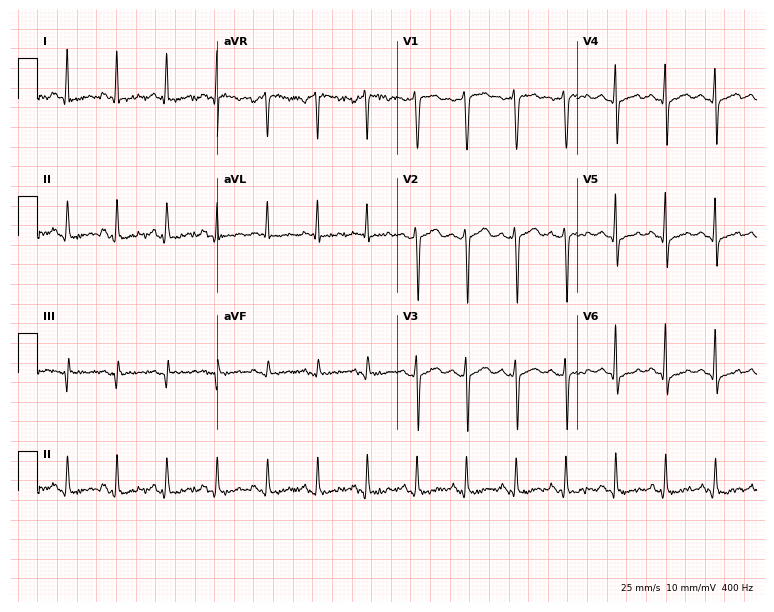
ECG (7.3-second recording at 400 Hz) — a 39-year-old male patient. Findings include sinus tachycardia (a sinus rate of 100 beats per minute or more).